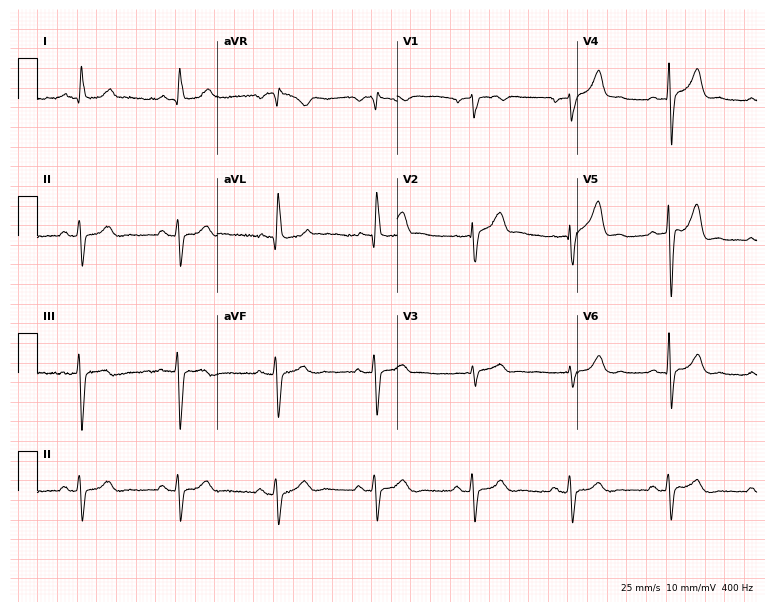
Electrocardiogram, a male, 70 years old. Of the six screened findings (first-degree AV block, right bundle branch block (RBBB), left bundle branch block (LBBB), sinus bradycardia, atrial fibrillation (AF), sinus tachycardia), none is recorded. Only these six findings were labelled.